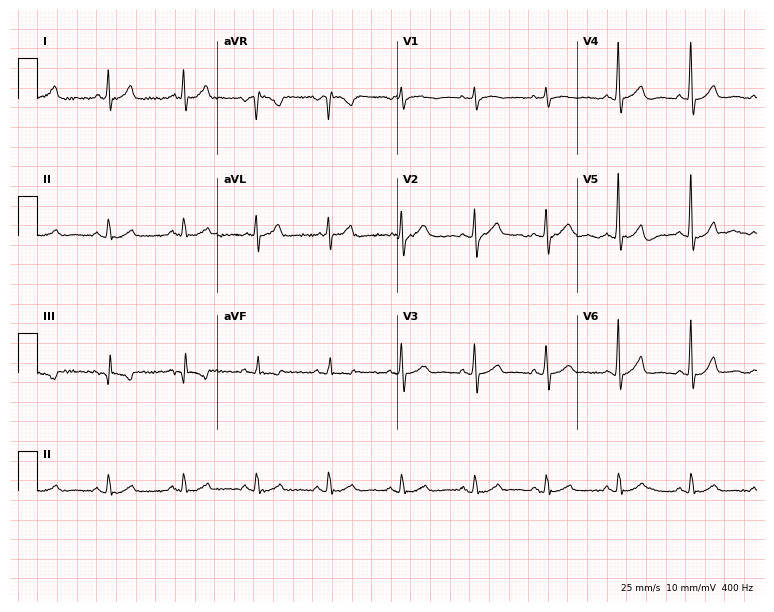
Resting 12-lead electrocardiogram. Patient: a male, 75 years old. Read as a normal ECG.